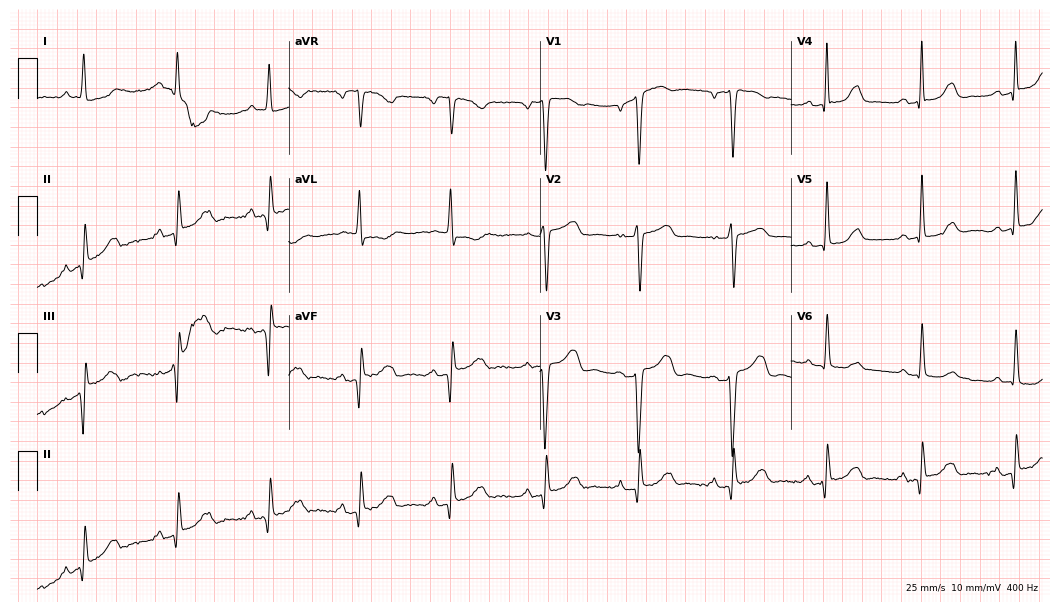
Electrocardiogram, a female, 72 years old. Of the six screened findings (first-degree AV block, right bundle branch block, left bundle branch block, sinus bradycardia, atrial fibrillation, sinus tachycardia), none is recorded. Findings outside these six are not listed.